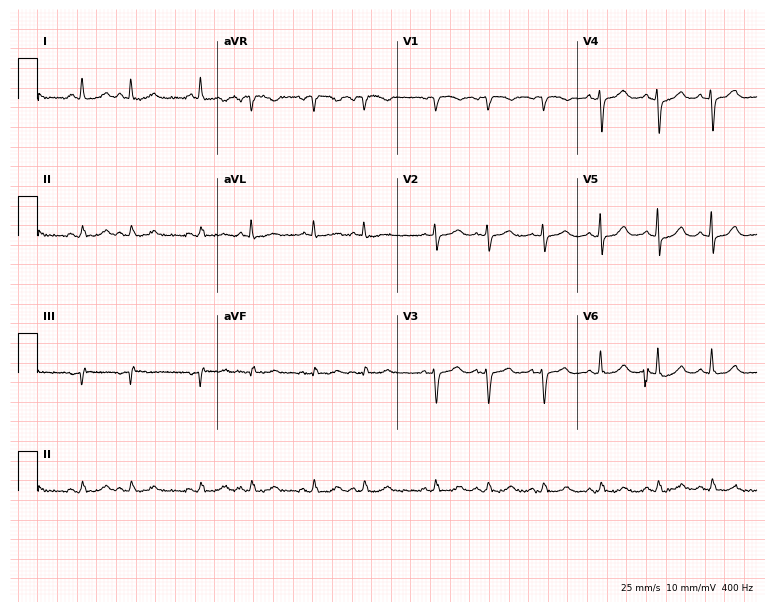
ECG — a female patient, 83 years old. Screened for six findings — first-degree AV block, right bundle branch block, left bundle branch block, sinus bradycardia, atrial fibrillation, sinus tachycardia — none is recorded.